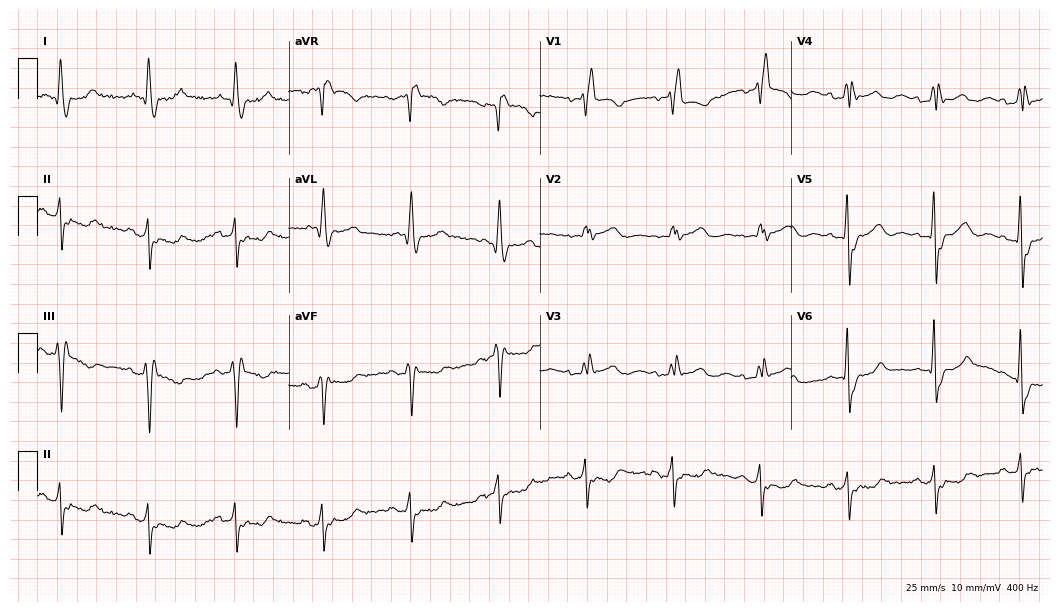
12-lead ECG from a 66-year-old female. No first-degree AV block, right bundle branch block, left bundle branch block, sinus bradycardia, atrial fibrillation or sinus tachycardia recorded for this tracing.